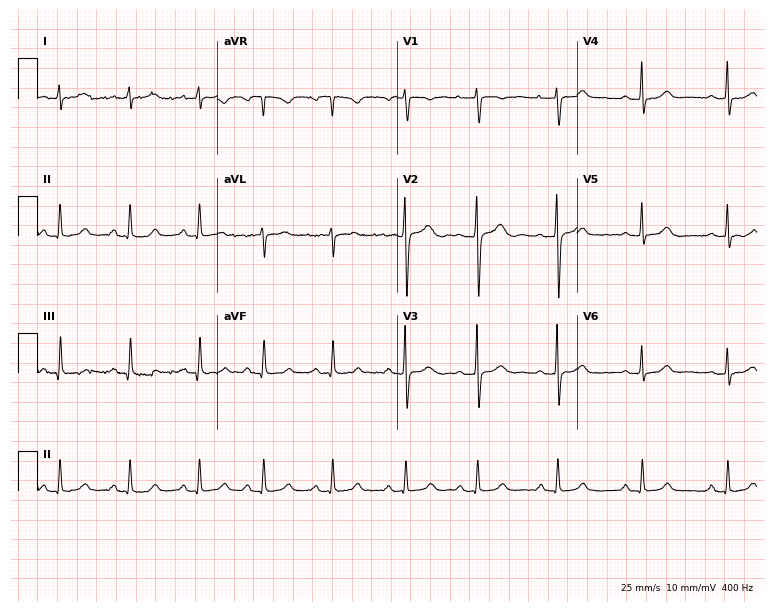
12-lead ECG from a 29-year-old female (7.3-second recording at 400 Hz). Recorded interpretation: within normal limits.